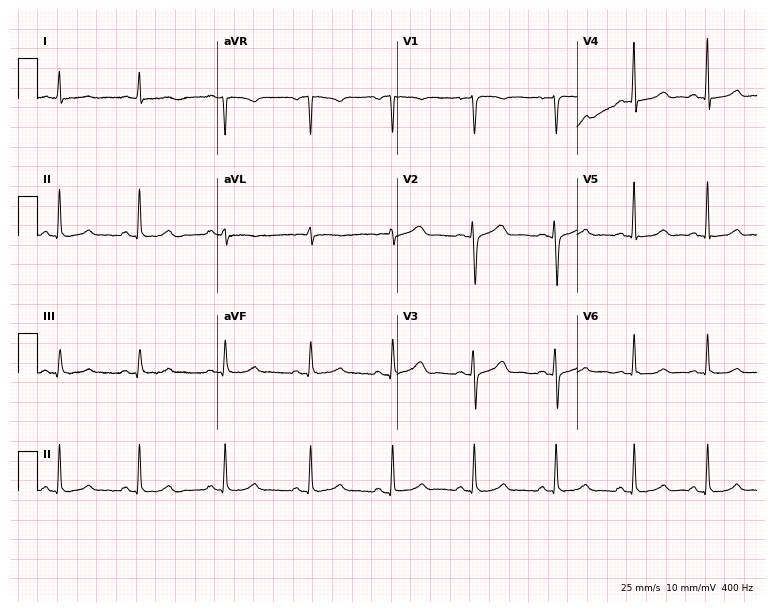
12-lead ECG (7.3-second recording at 400 Hz) from a female, 40 years old. Screened for six findings — first-degree AV block, right bundle branch block, left bundle branch block, sinus bradycardia, atrial fibrillation, sinus tachycardia — none is recorded.